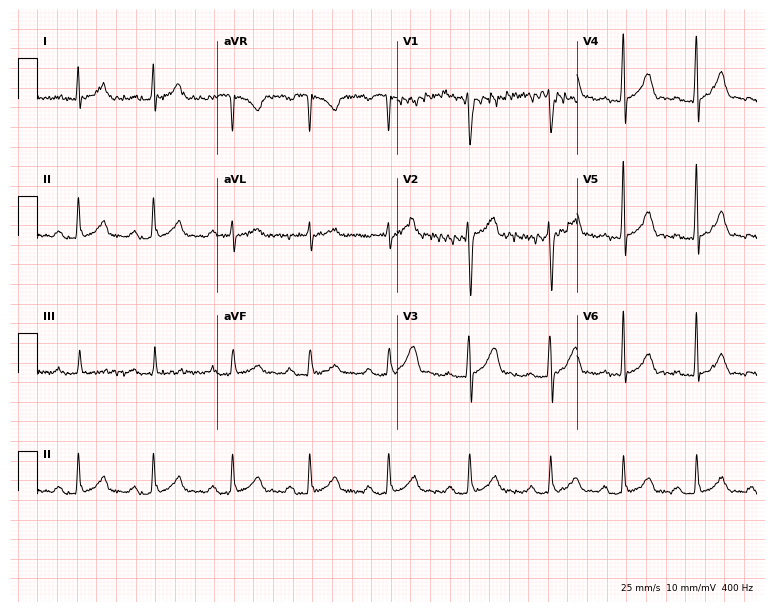
Standard 12-lead ECG recorded from a man, 27 years old. Read as a normal ECG.